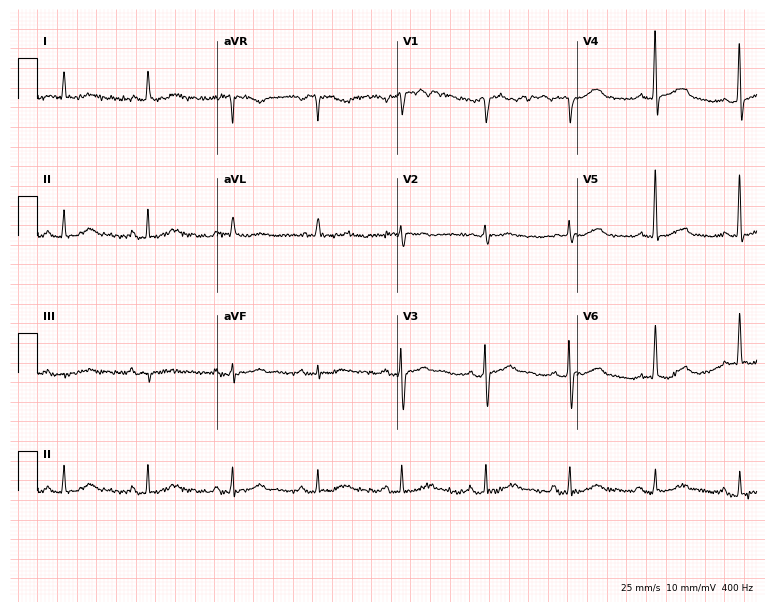
Electrocardiogram (7.3-second recording at 400 Hz), a man, 72 years old. Overall reading on record: normal ECG.